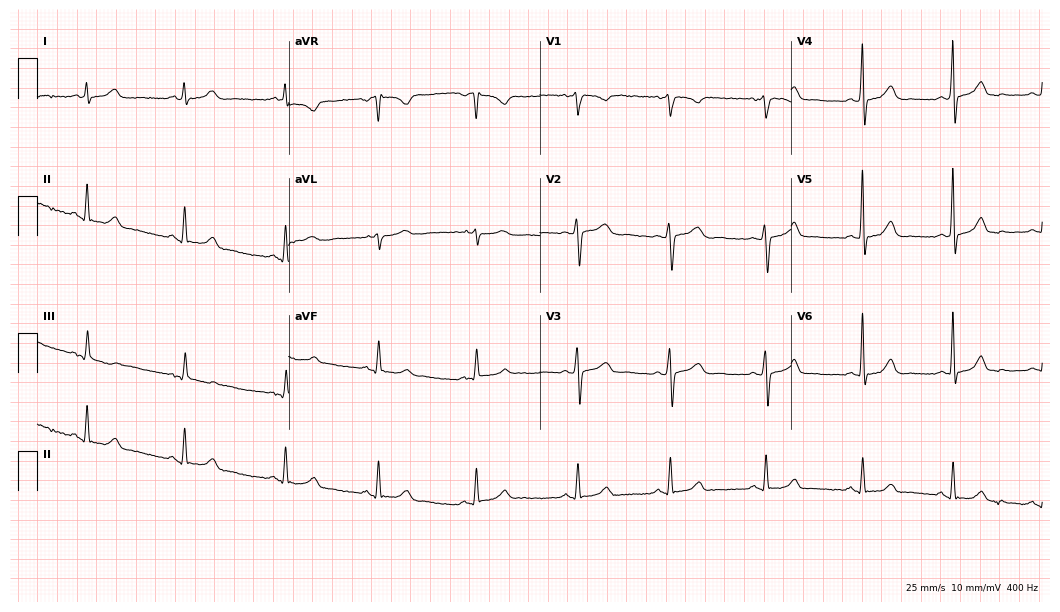
ECG (10.2-second recording at 400 Hz) — a 37-year-old female. Screened for six findings — first-degree AV block, right bundle branch block, left bundle branch block, sinus bradycardia, atrial fibrillation, sinus tachycardia — none is recorded.